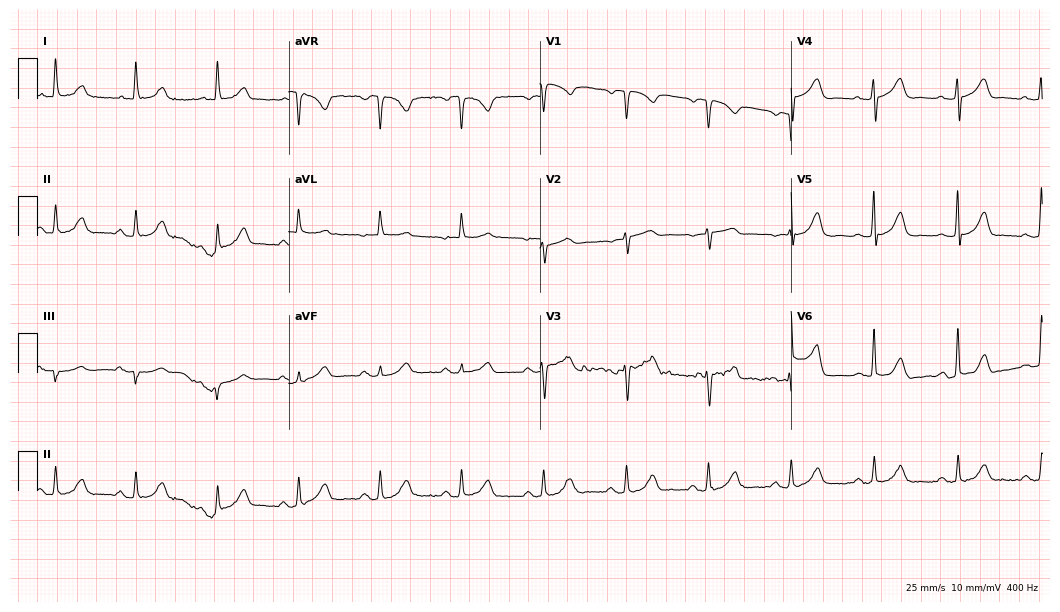
ECG (10.2-second recording at 400 Hz) — a 74-year-old female. Screened for six findings — first-degree AV block, right bundle branch block (RBBB), left bundle branch block (LBBB), sinus bradycardia, atrial fibrillation (AF), sinus tachycardia — none is recorded. Other findings, if any, are not listed.